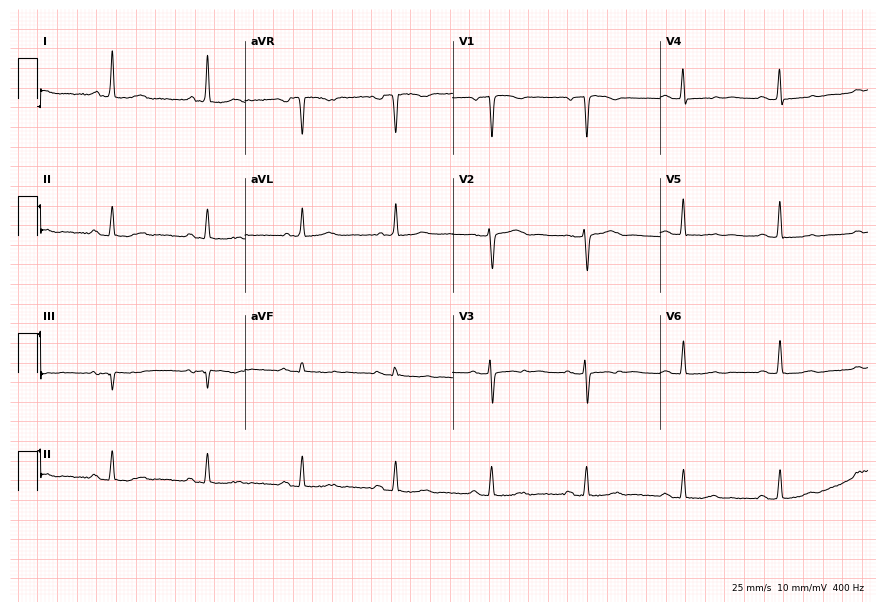
12-lead ECG from a 62-year-old female patient. Screened for six findings — first-degree AV block, right bundle branch block, left bundle branch block, sinus bradycardia, atrial fibrillation, sinus tachycardia — none is recorded. Findings outside these six are not listed.